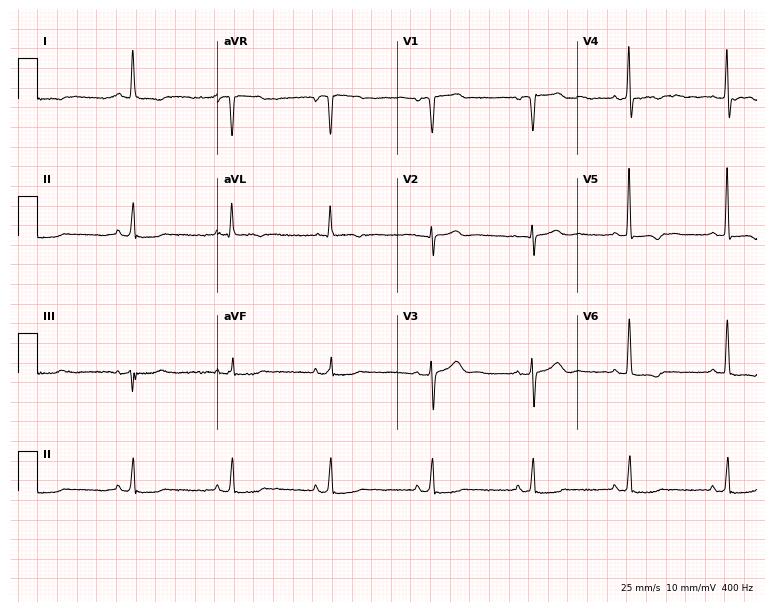
Standard 12-lead ECG recorded from a male patient, 64 years old. None of these six findings is recorded: first-degree AV block, right bundle branch block, left bundle branch block, sinus bradycardia, atrial fibrillation, sinus tachycardia.